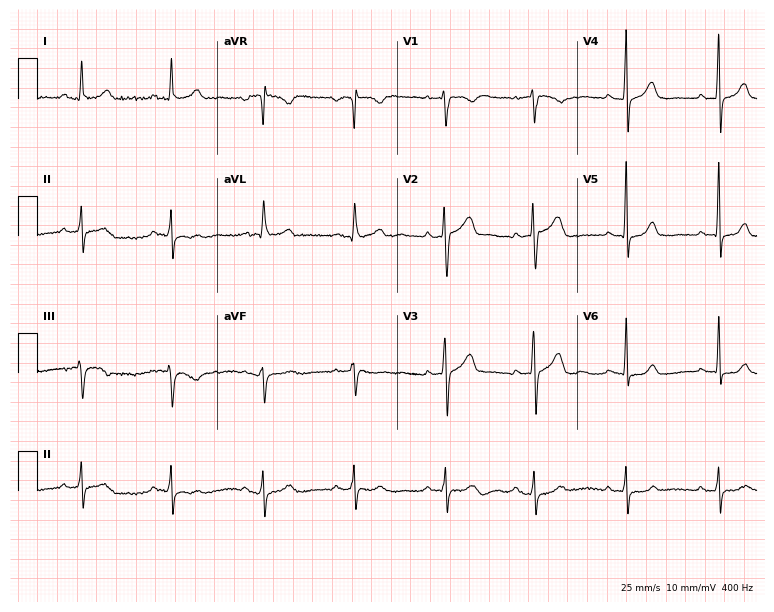
Electrocardiogram (7.3-second recording at 400 Hz), a 65-year-old woman. Overall reading on record: normal ECG.